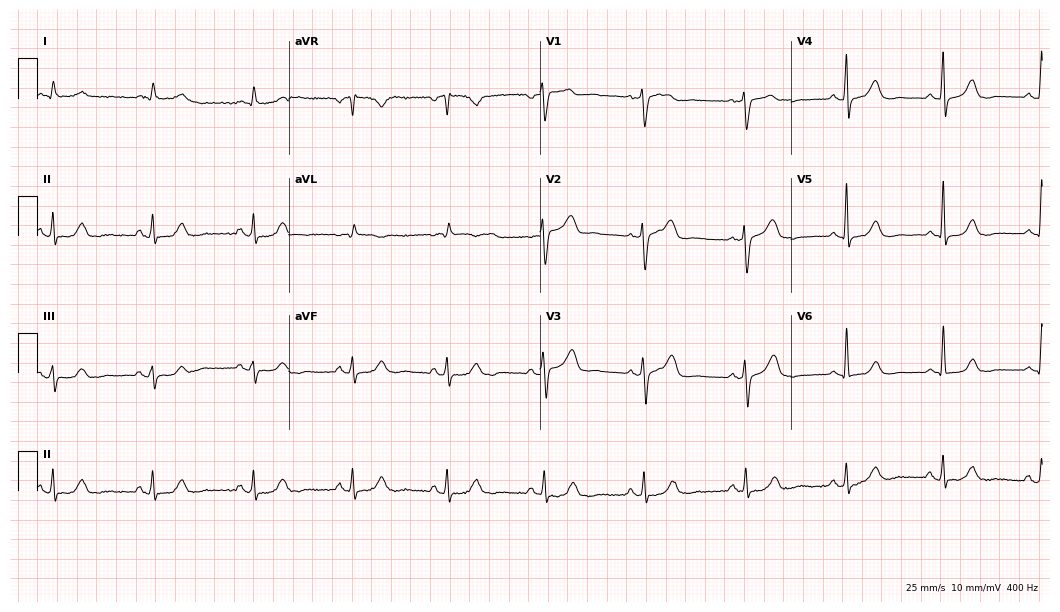
Electrocardiogram, a 59-year-old female. Overall reading on record: normal ECG.